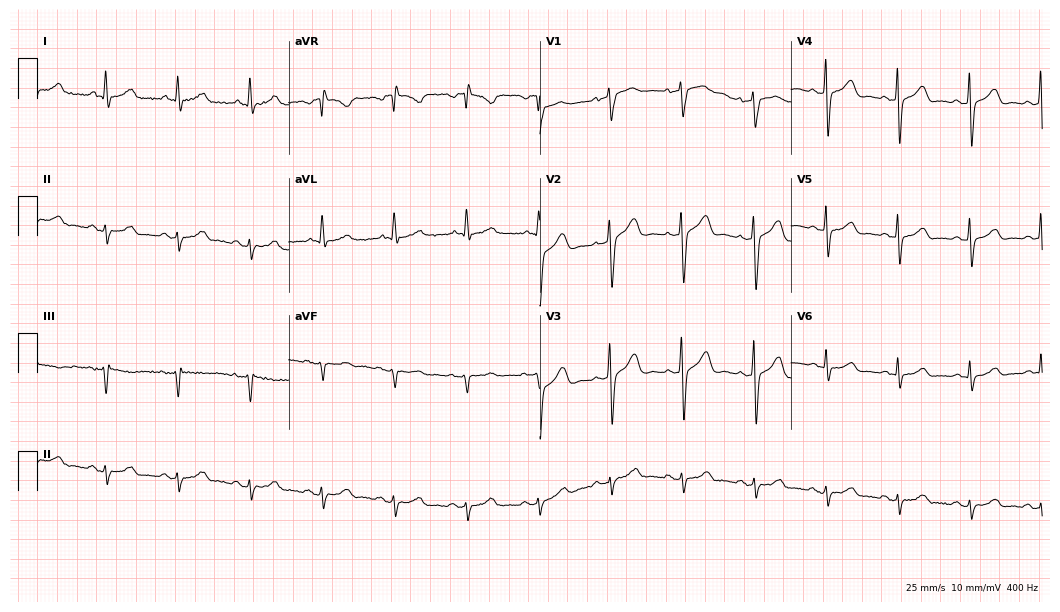
12-lead ECG from a 68-year-old woman. No first-degree AV block, right bundle branch block (RBBB), left bundle branch block (LBBB), sinus bradycardia, atrial fibrillation (AF) or sinus tachycardia recorded for this tracing.